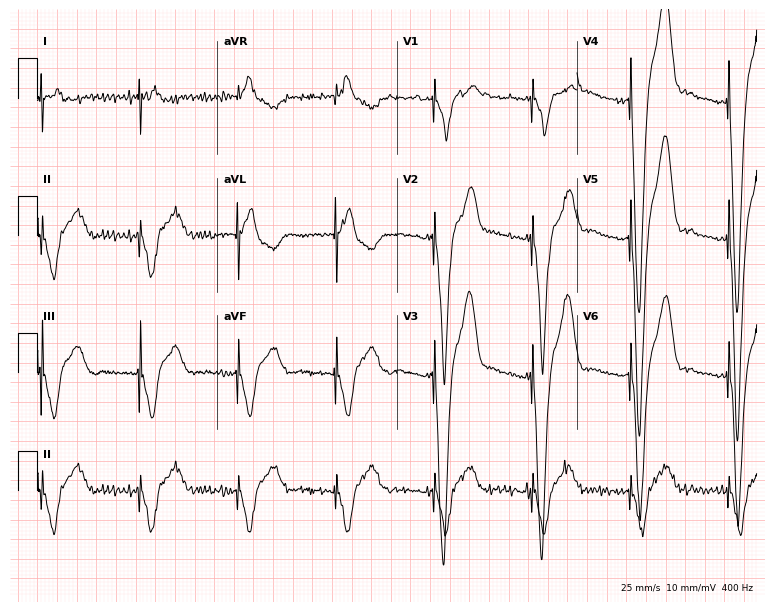
Electrocardiogram (7.3-second recording at 400 Hz), a 74-year-old male patient. Of the six screened findings (first-degree AV block, right bundle branch block (RBBB), left bundle branch block (LBBB), sinus bradycardia, atrial fibrillation (AF), sinus tachycardia), none is recorded. Findings outside these six are not listed.